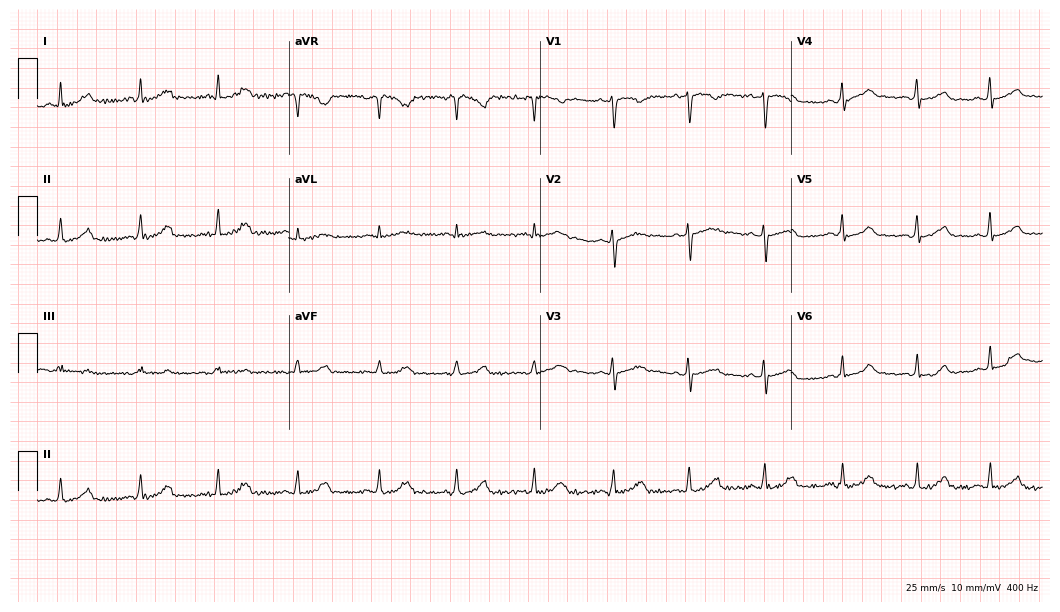
ECG (10.2-second recording at 400 Hz) — a woman, 27 years old. Screened for six findings — first-degree AV block, right bundle branch block, left bundle branch block, sinus bradycardia, atrial fibrillation, sinus tachycardia — none is recorded.